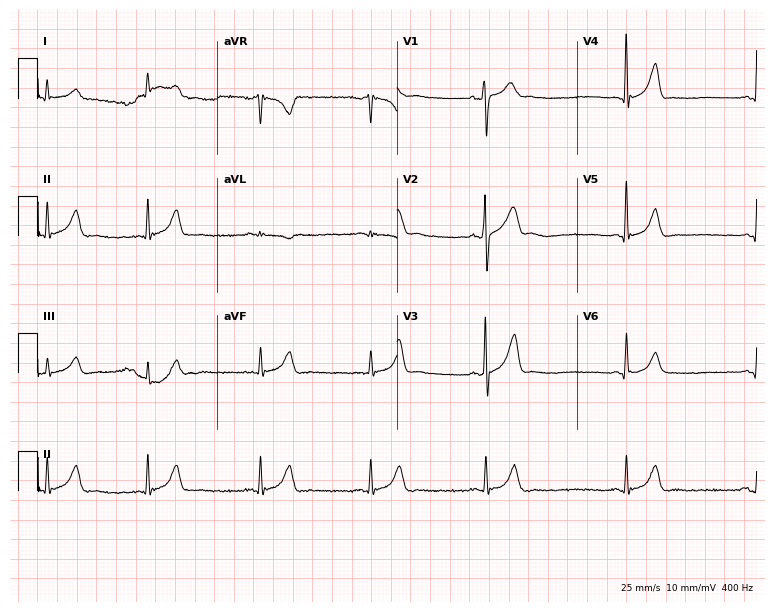
Standard 12-lead ECG recorded from a 42-year-old male patient. Read as a normal ECG.